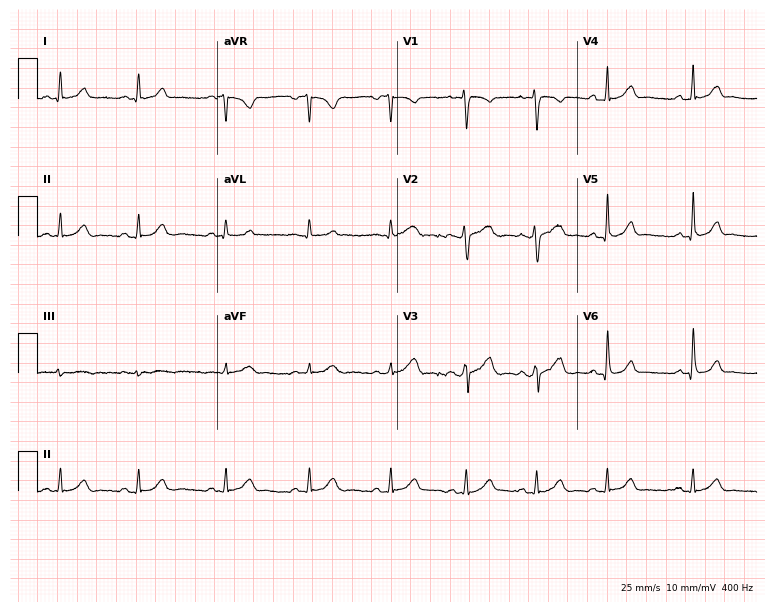
12-lead ECG from a 21-year-old woman. Labelled as a normal ECG.